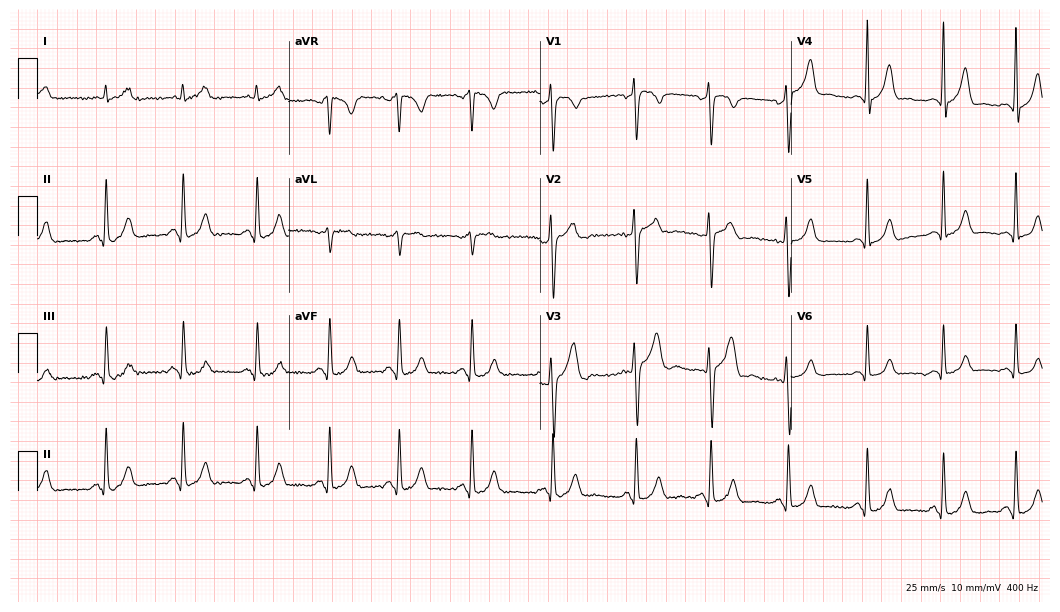
ECG — a male, 28 years old. Labelled as a normal ECG.